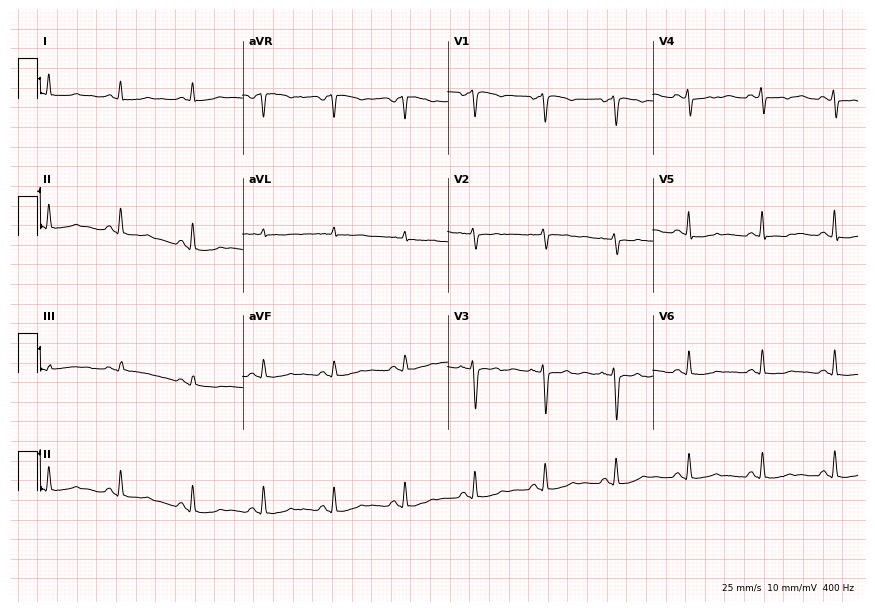
ECG (8.4-second recording at 400 Hz) — a 50-year-old female. Screened for six findings — first-degree AV block, right bundle branch block (RBBB), left bundle branch block (LBBB), sinus bradycardia, atrial fibrillation (AF), sinus tachycardia — none is recorded. Only these six findings were labelled.